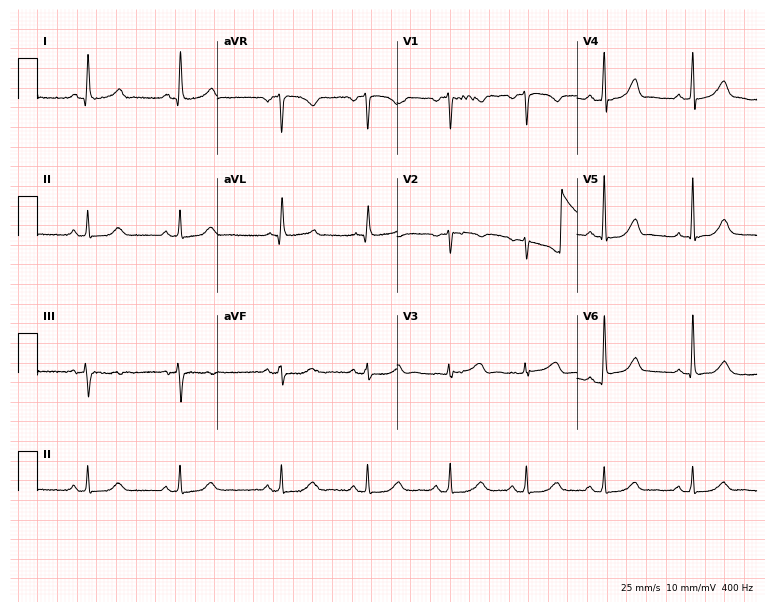
Standard 12-lead ECG recorded from a 59-year-old female. Read as a normal ECG.